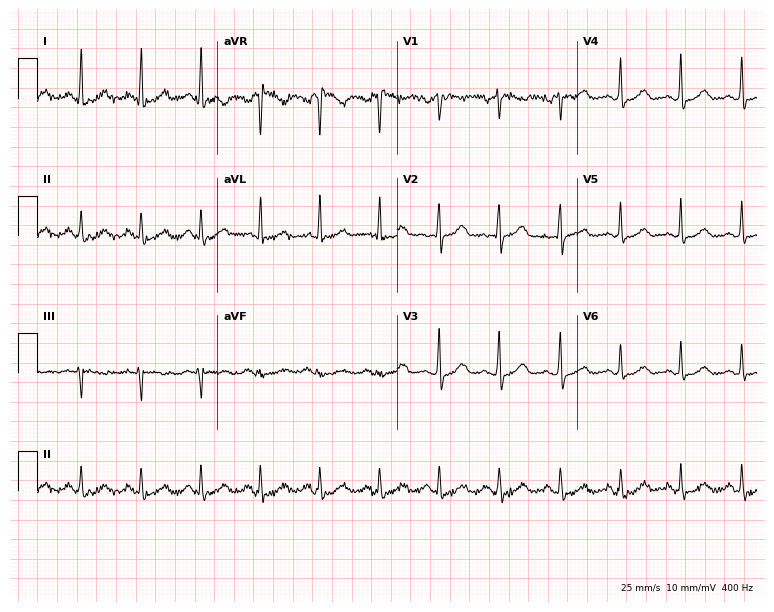
Resting 12-lead electrocardiogram. Patient: a 55-year-old female. Read as a normal ECG.